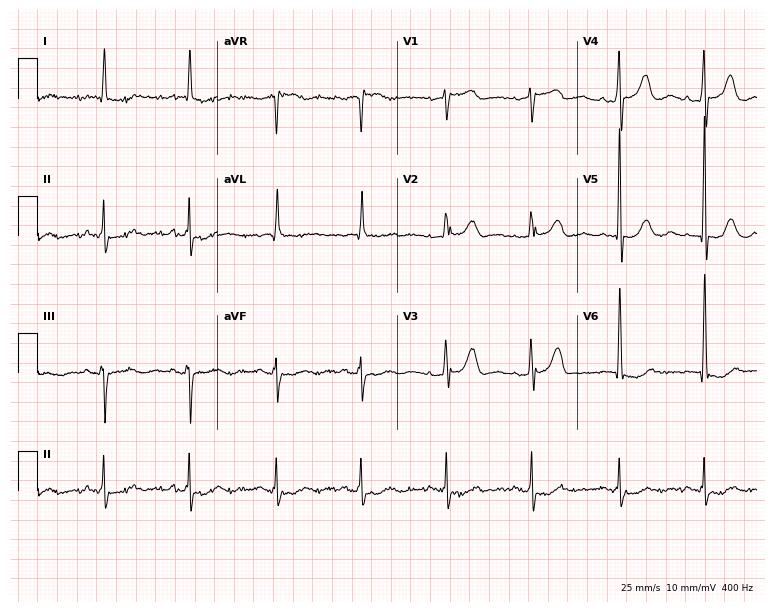
ECG (7.3-second recording at 400 Hz) — a woman, 73 years old. Screened for six findings — first-degree AV block, right bundle branch block (RBBB), left bundle branch block (LBBB), sinus bradycardia, atrial fibrillation (AF), sinus tachycardia — none is recorded.